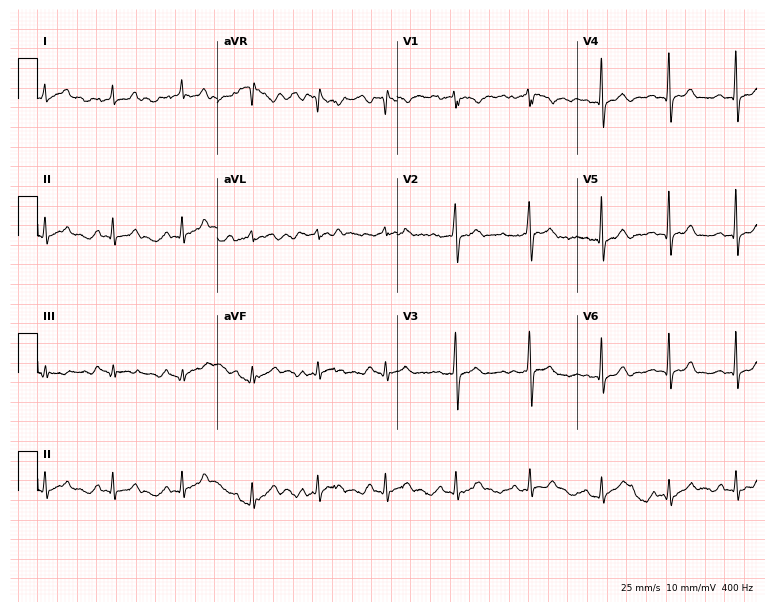
12-lead ECG from a woman, 35 years old (7.3-second recording at 400 Hz). Recorded interpretation: within normal limits.